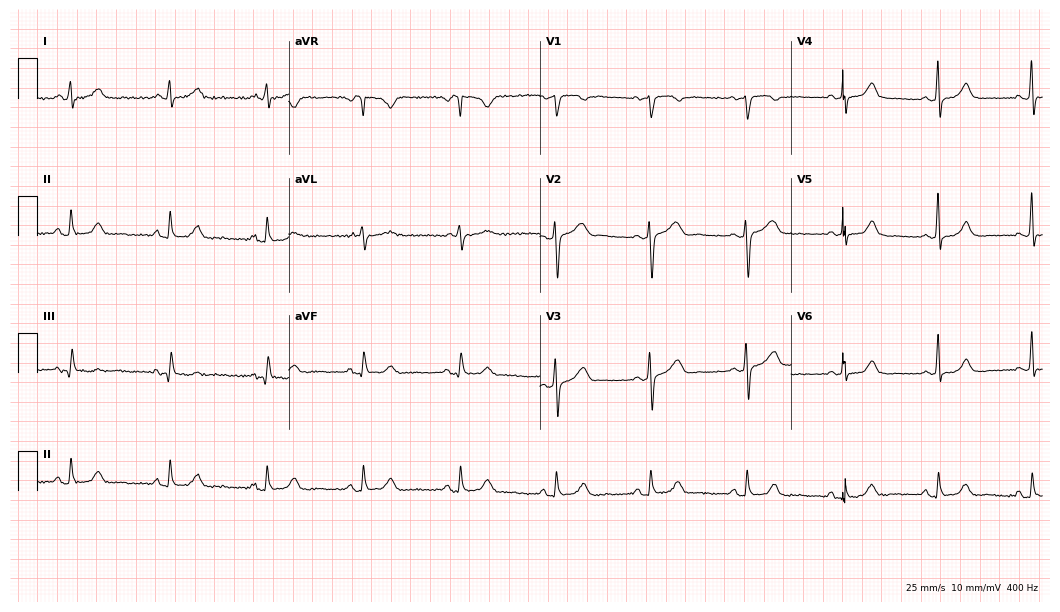
Standard 12-lead ECG recorded from a 38-year-old female patient. Read as a normal ECG.